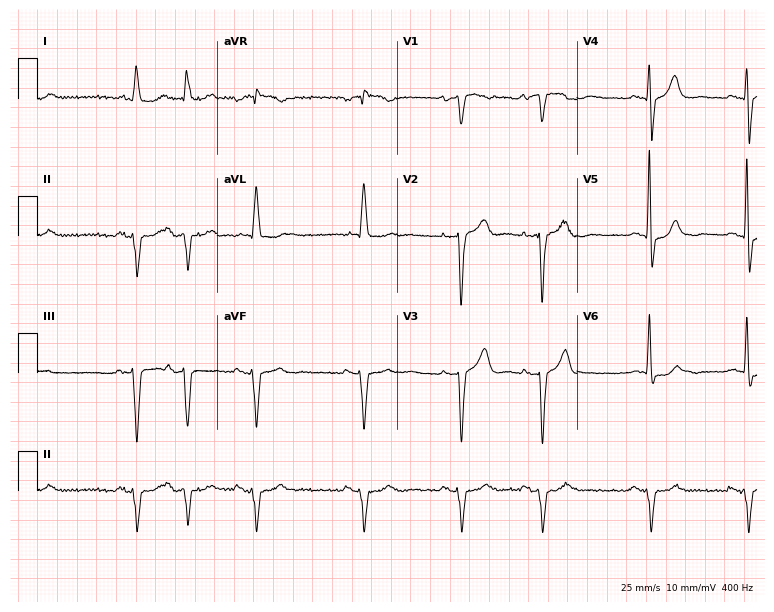
Resting 12-lead electrocardiogram (7.3-second recording at 400 Hz). Patient: a male, 82 years old. None of these six findings is recorded: first-degree AV block, right bundle branch block, left bundle branch block, sinus bradycardia, atrial fibrillation, sinus tachycardia. Only these six findings were labelled.